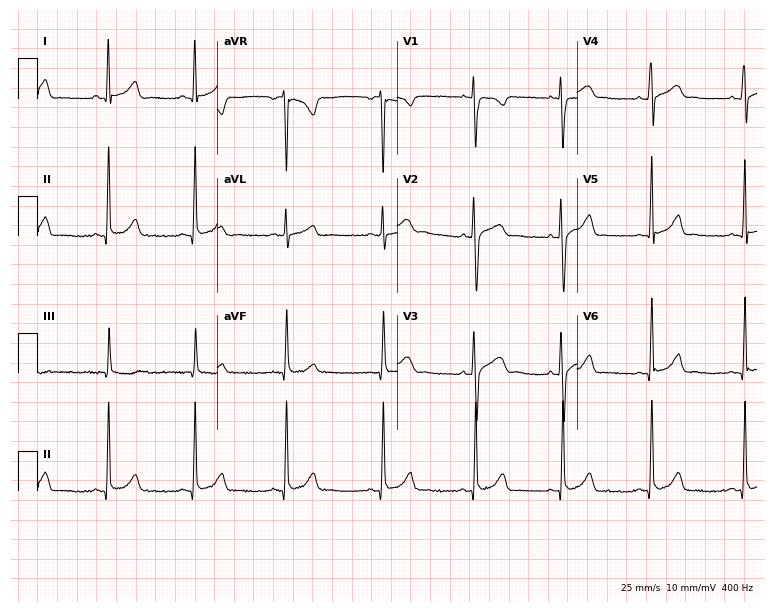
ECG — a 20-year-old woman. Screened for six findings — first-degree AV block, right bundle branch block, left bundle branch block, sinus bradycardia, atrial fibrillation, sinus tachycardia — none is recorded. Findings outside these six are not listed.